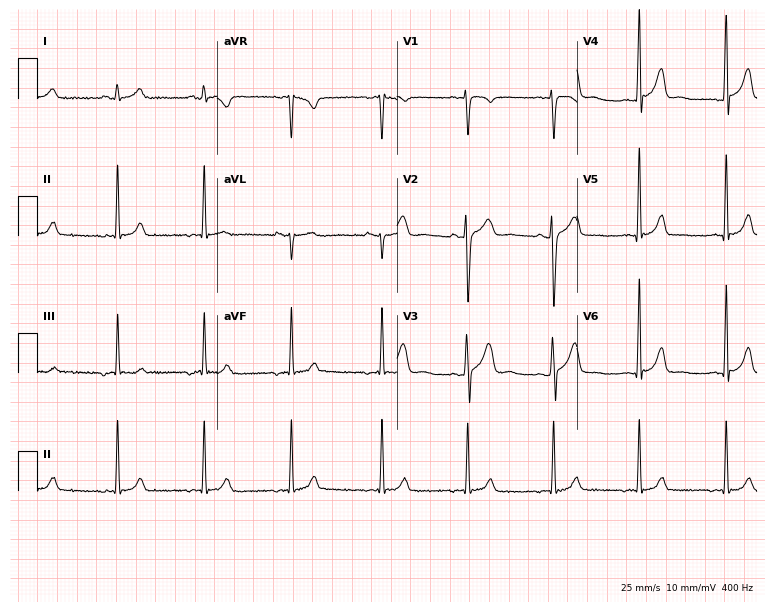
12-lead ECG (7.3-second recording at 400 Hz) from a 19-year-old man. Labelled as a normal ECG.